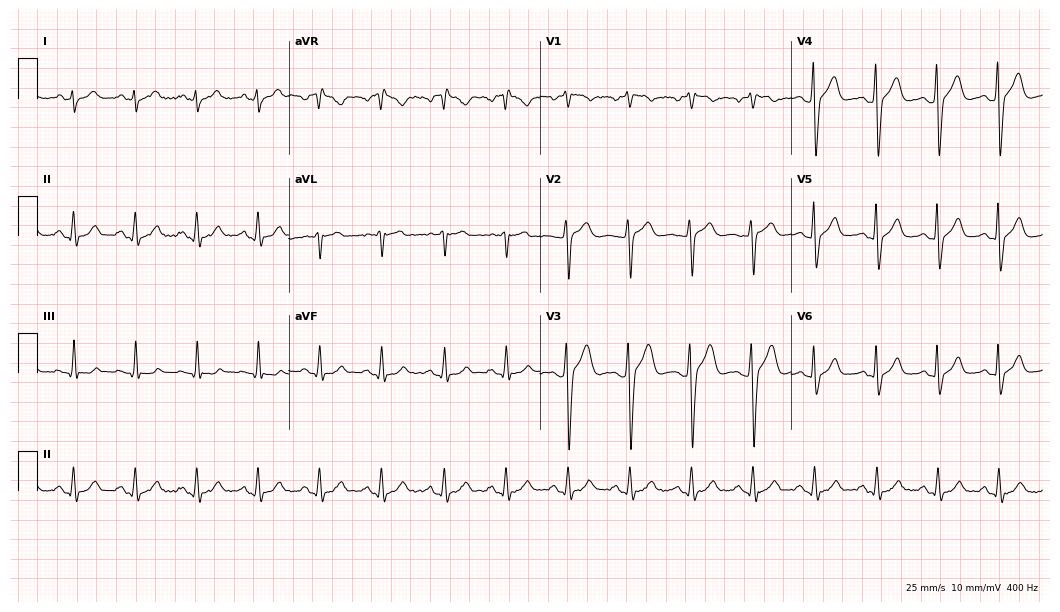
ECG (10.2-second recording at 400 Hz) — a 39-year-old male. Screened for six findings — first-degree AV block, right bundle branch block (RBBB), left bundle branch block (LBBB), sinus bradycardia, atrial fibrillation (AF), sinus tachycardia — none is recorded. Other findings, if any, are not listed.